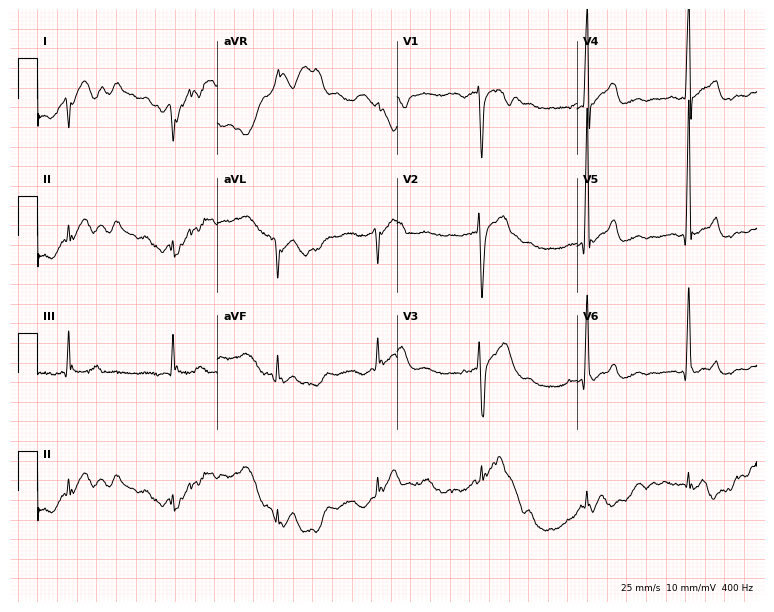
12-lead ECG from a male, 40 years old. No first-degree AV block, right bundle branch block, left bundle branch block, sinus bradycardia, atrial fibrillation or sinus tachycardia recorded for this tracing.